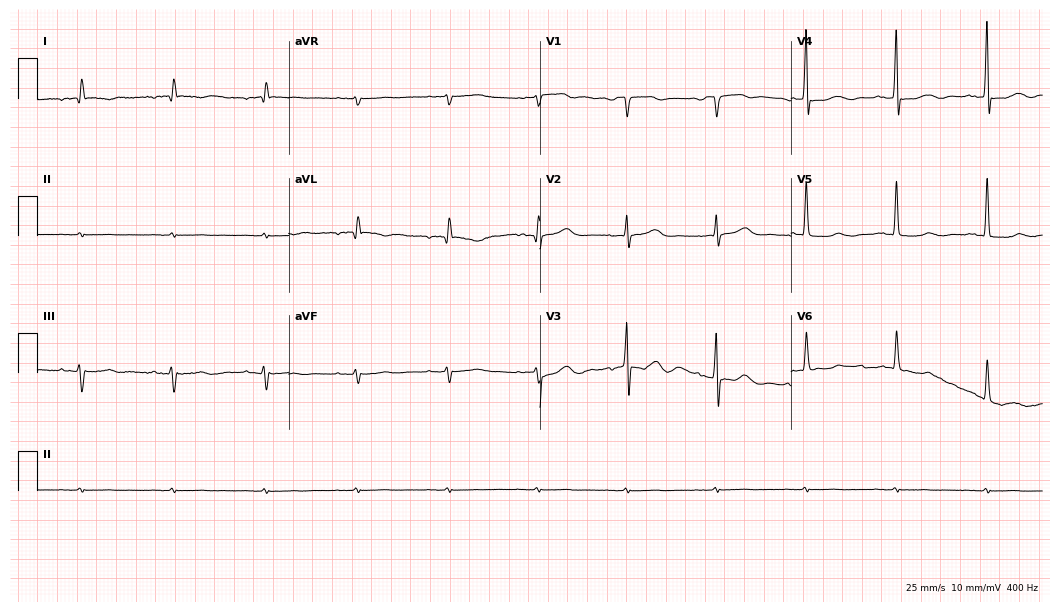
Electrocardiogram (10.2-second recording at 400 Hz), a man, 81 years old. Of the six screened findings (first-degree AV block, right bundle branch block, left bundle branch block, sinus bradycardia, atrial fibrillation, sinus tachycardia), none is recorded. Findings outside these six are not listed.